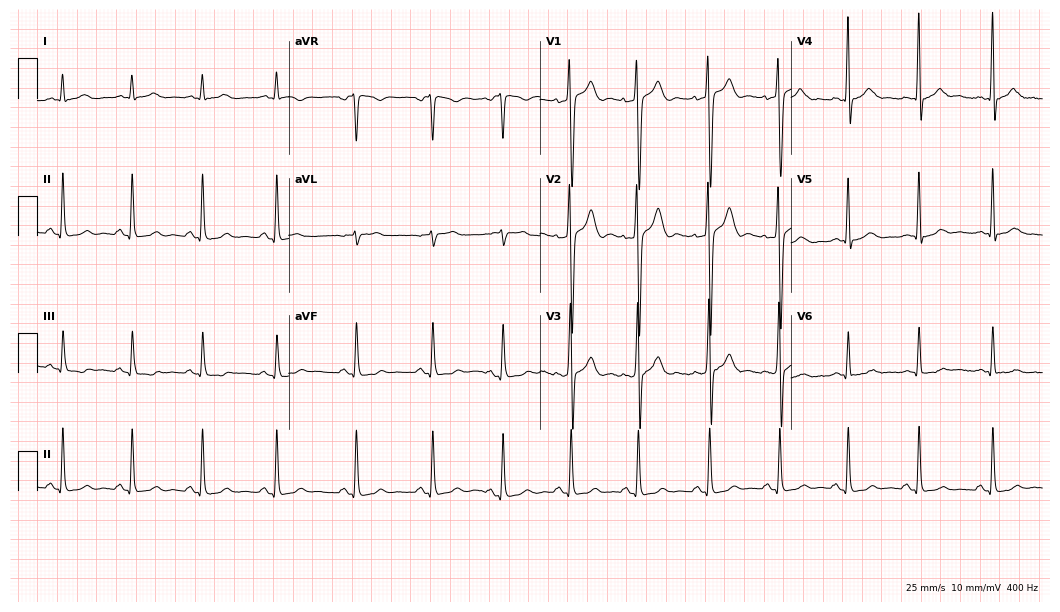
12-lead ECG from a 22-year-old male. Recorded interpretation: within normal limits.